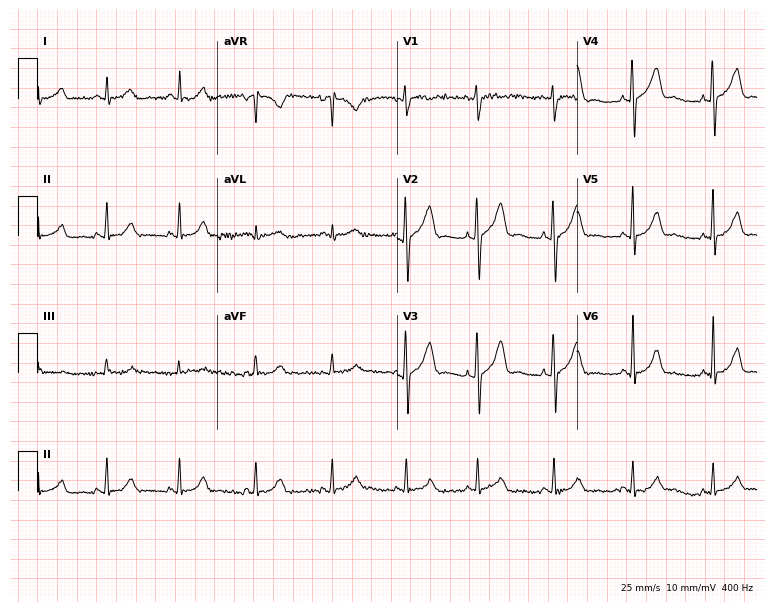
Standard 12-lead ECG recorded from a 29-year-old female patient. None of these six findings is recorded: first-degree AV block, right bundle branch block, left bundle branch block, sinus bradycardia, atrial fibrillation, sinus tachycardia. Only these six findings were labelled.